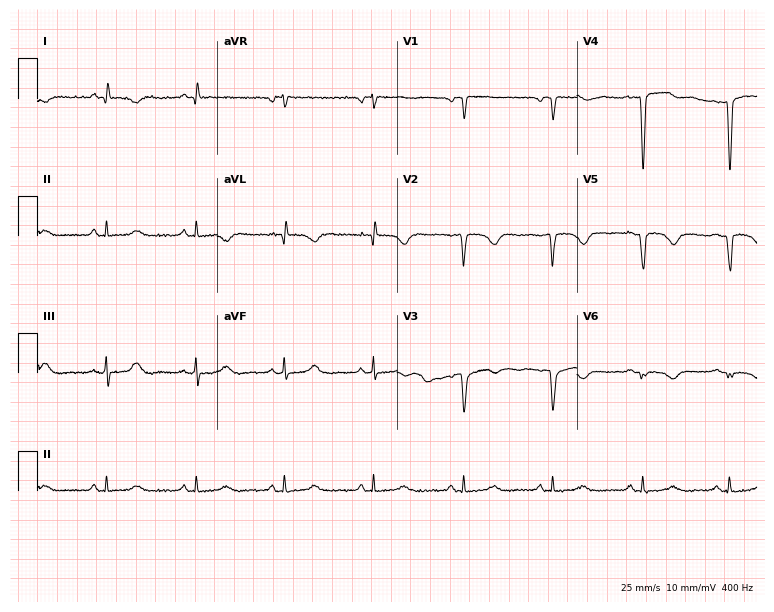
Resting 12-lead electrocardiogram (7.3-second recording at 400 Hz). Patient: a female, 60 years old. None of these six findings is recorded: first-degree AV block, right bundle branch block (RBBB), left bundle branch block (LBBB), sinus bradycardia, atrial fibrillation (AF), sinus tachycardia. Other findings, if any, are not listed.